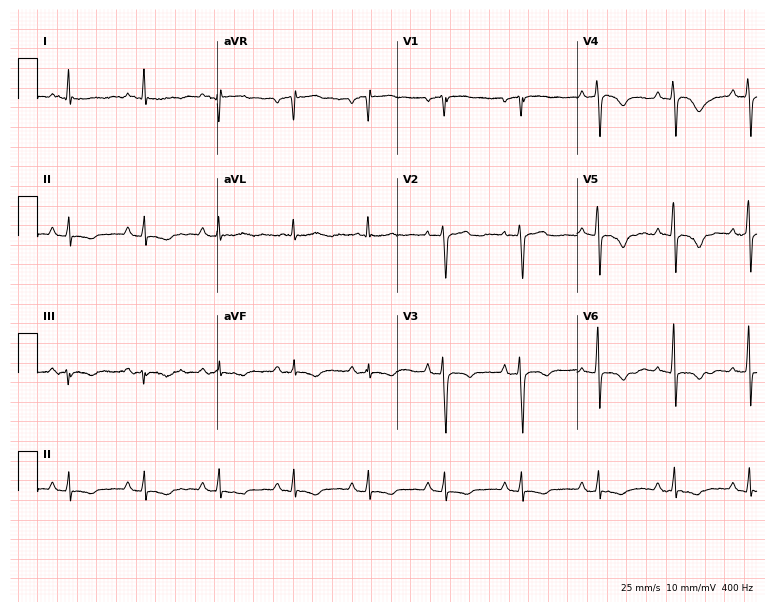
12-lead ECG from a 66-year-old man. Screened for six findings — first-degree AV block, right bundle branch block, left bundle branch block, sinus bradycardia, atrial fibrillation, sinus tachycardia — none is recorded. Only these six findings were labelled.